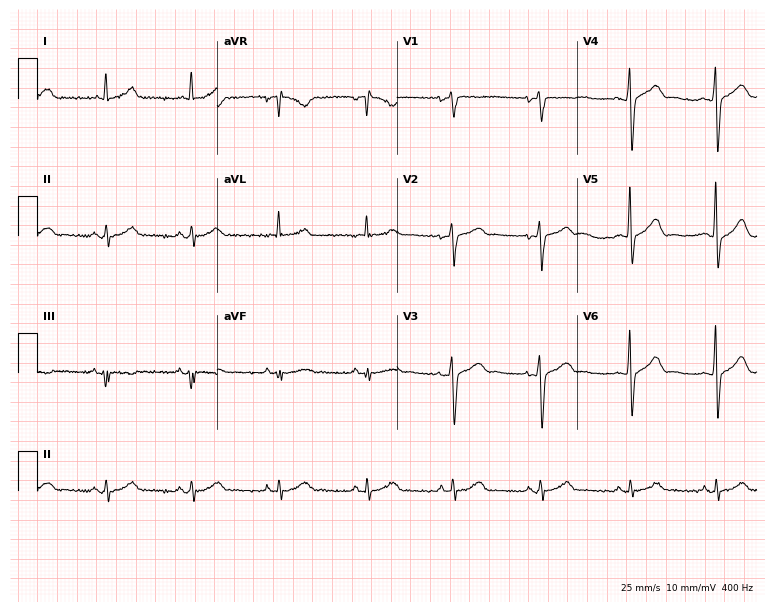
Standard 12-lead ECG recorded from a male, 61 years old (7.3-second recording at 400 Hz). Read as a normal ECG.